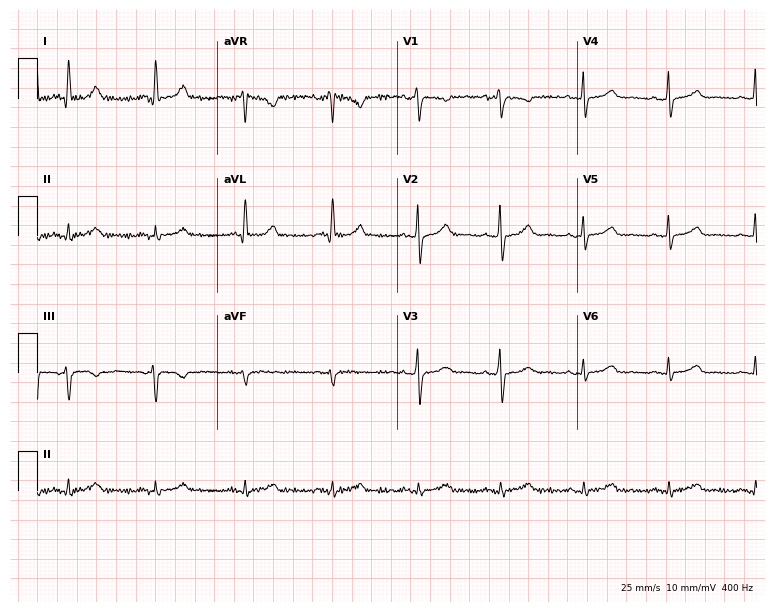
12-lead ECG from a 42-year-old female patient (7.3-second recording at 400 Hz). No first-degree AV block, right bundle branch block (RBBB), left bundle branch block (LBBB), sinus bradycardia, atrial fibrillation (AF) or sinus tachycardia recorded for this tracing.